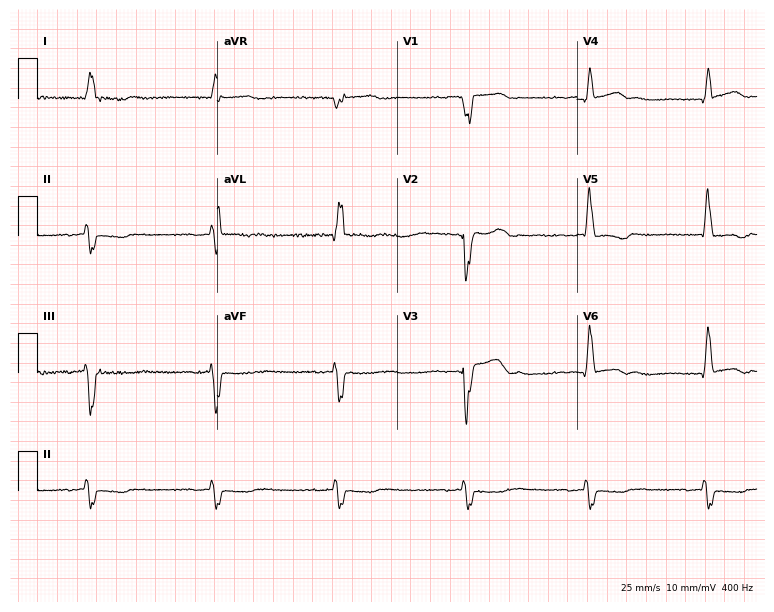
Resting 12-lead electrocardiogram. Patient: a man, 83 years old. The tracing shows left bundle branch block.